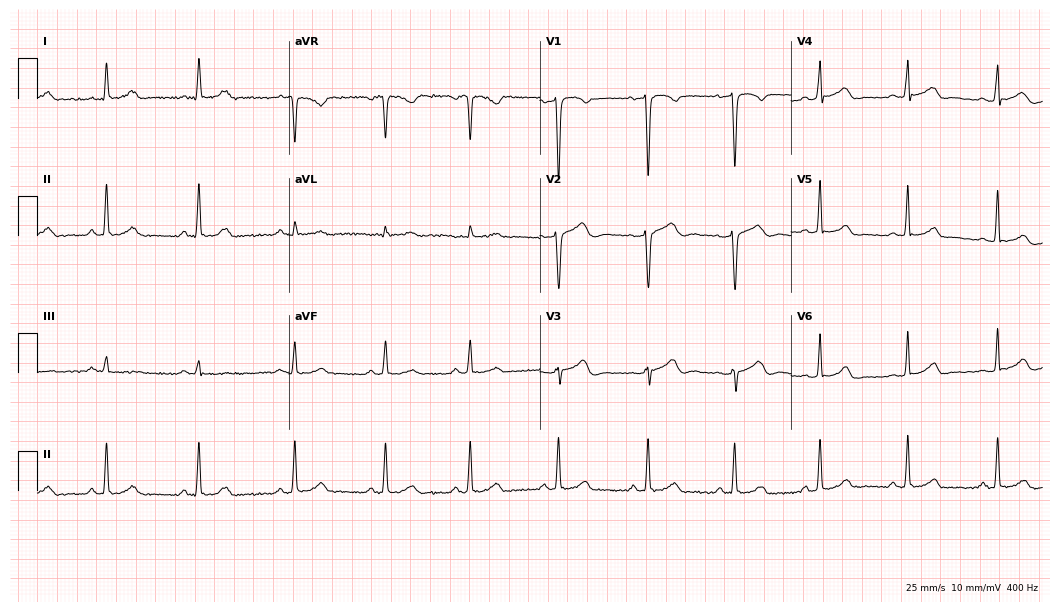
ECG — a female patient, 28 years old. Labelled as a normal ECG.